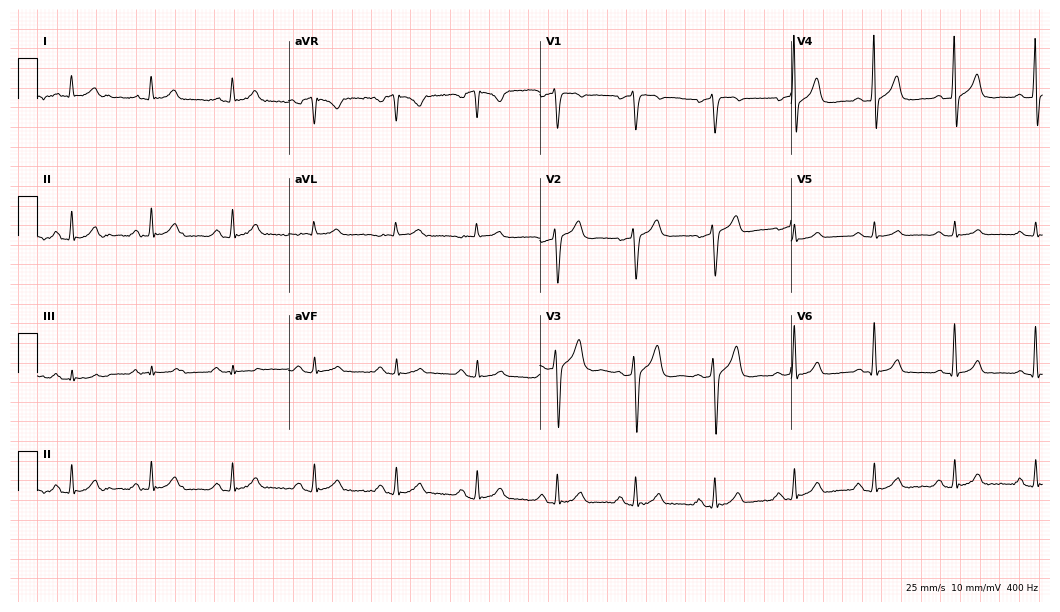
ECG — a 60-year-old male. Labelled as a normal ECG.